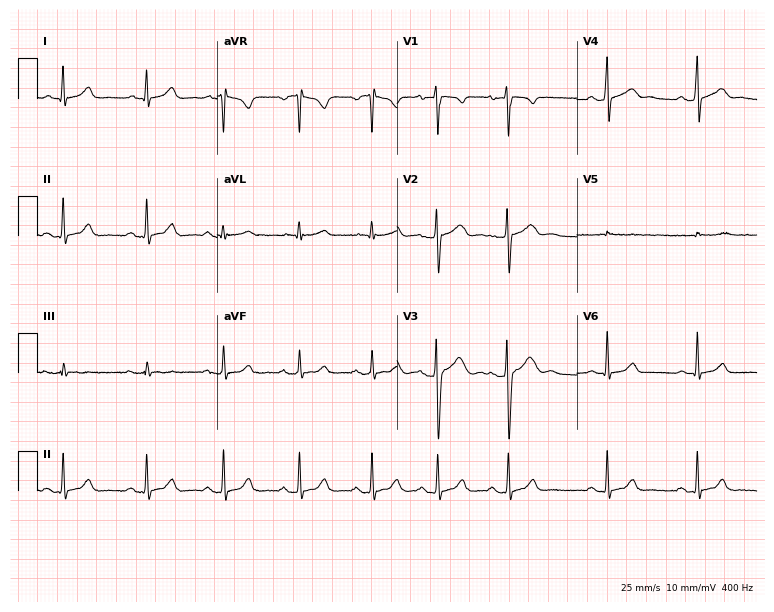
ECG — a 19-year-old man. Screened for six findings — first-degree AV block, right bundle branch block, left bundle branch block, sinus bradycardia, atrial fibrillation, sinus tachycardia — none is recorded. Only these six findings were labelled.